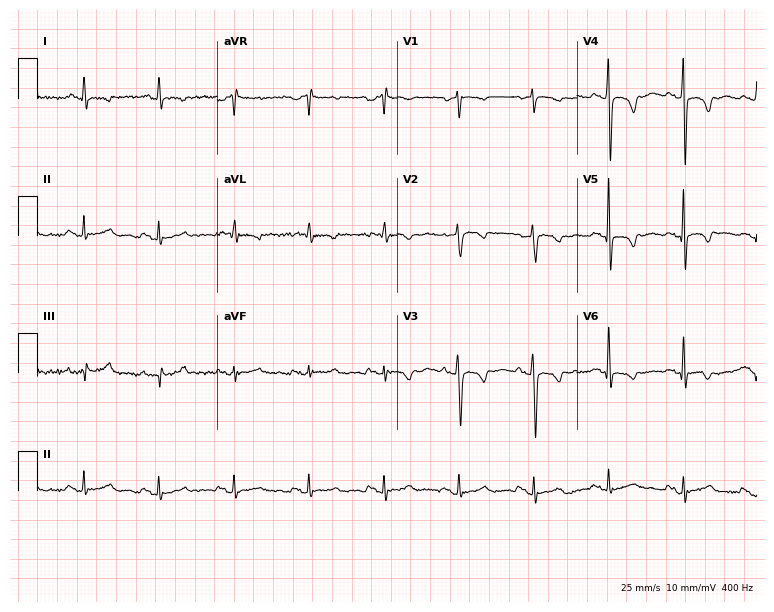
12-lead ECG (7.3-second recording at 400 Hz) from a 71-year-old woman. Screened for six findings — first-degree AV block, right bundle branch block, left bundle branch block, sinus bradycardia, atrial fibrillation, sinus tachycardia — none is recorded. Findings outside these six are not listed.